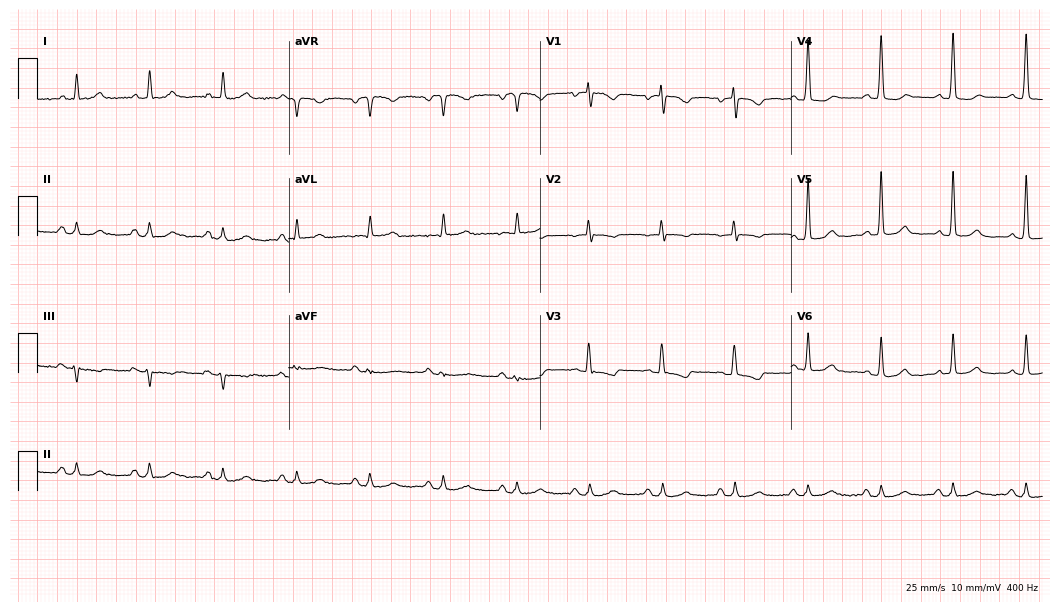
Standard 12-lead ECG recorded from a 75-year-old woman (10.2-second recording at 400 Hz). None of these six findings is recorded: first-degree AV block, right bundle branch block, left bundle branch block, sinus bradycardia, atrial fibrillation, sinus tachycardia. Only these six findings were labelled.